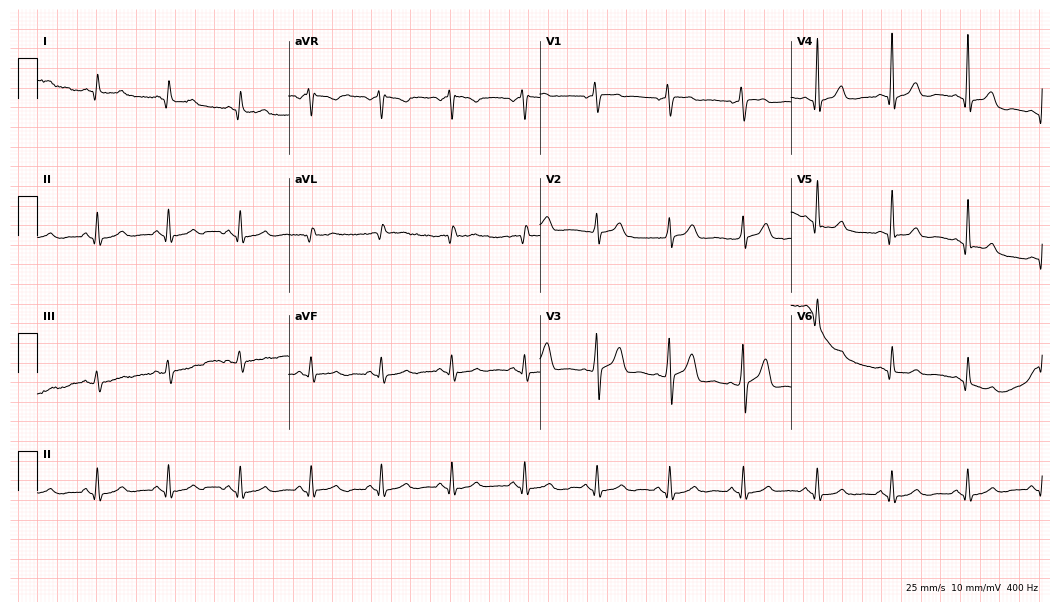
12-lead ECG from a 64-year-old male (10.2-second recording at 400 Hz). No first-degree AV block, right bundle branch block (RBBB), left bundle branch block (LBBB), sinus bradycardia, atrial fibrillation (AF) or sinus tachycardia recorded for this tracing. Only these six findings were labelled.